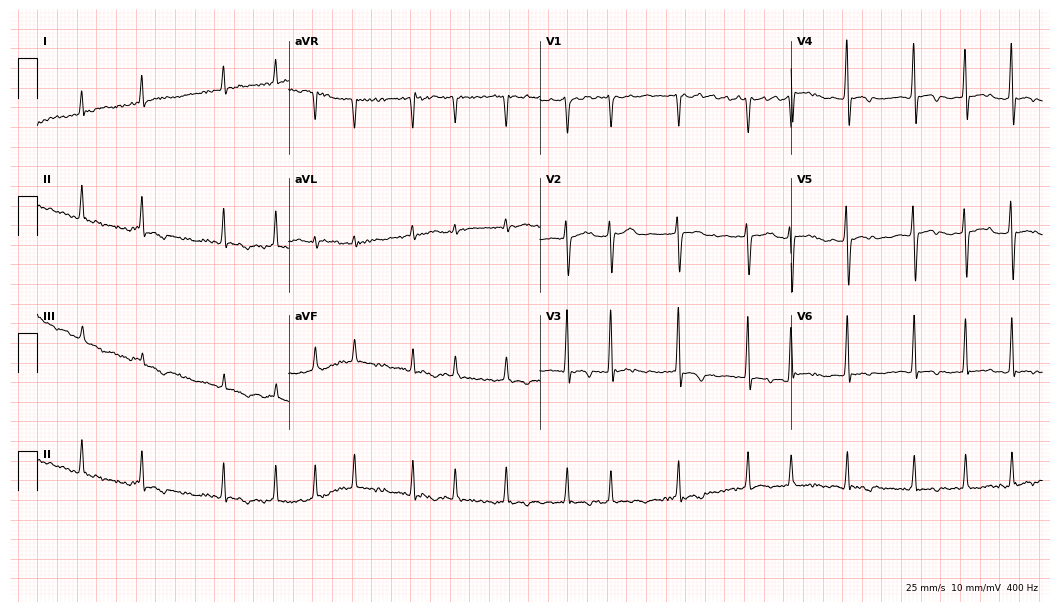
ECG (10.2-second recording at 400 Hz) — a male, 75 years old. Findings include atrial fibrillation.